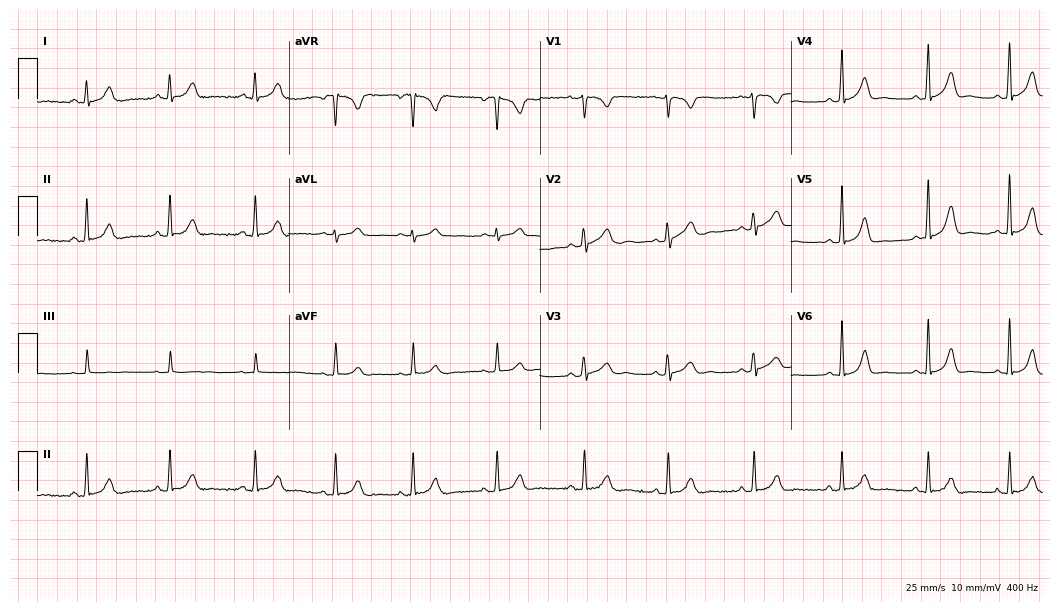
Standard 12-lead ECG recorded from a 23-year-old female. None of these six findings is recorded: first-degree AV block, right bundle branch block, left bundle branch block, sinus bradycardia, atrial fibrillation, sinus tachycardia.